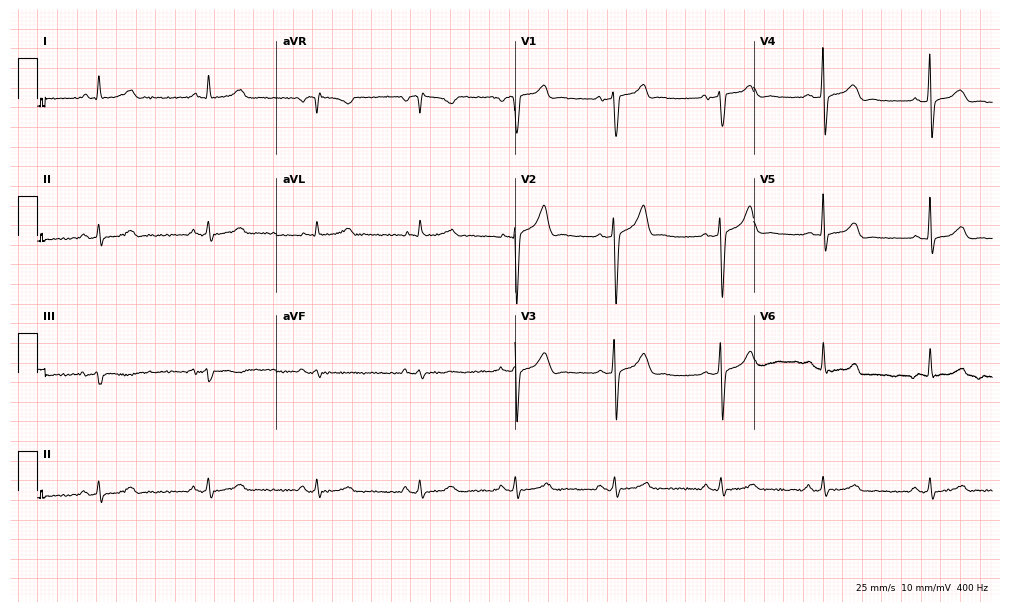
Electrocardiogram (9.7-second recording at 400 Hz), a 64-year-old man. Overall reading on record: normal ECG.